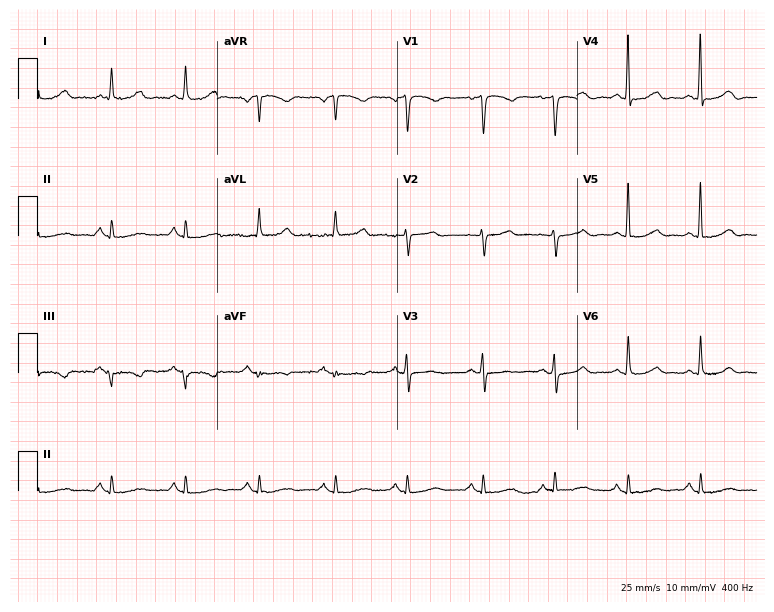
Resting 12-lead electrocardiogram. Patient: a woman, 77 years old. Read as a normal ECG.